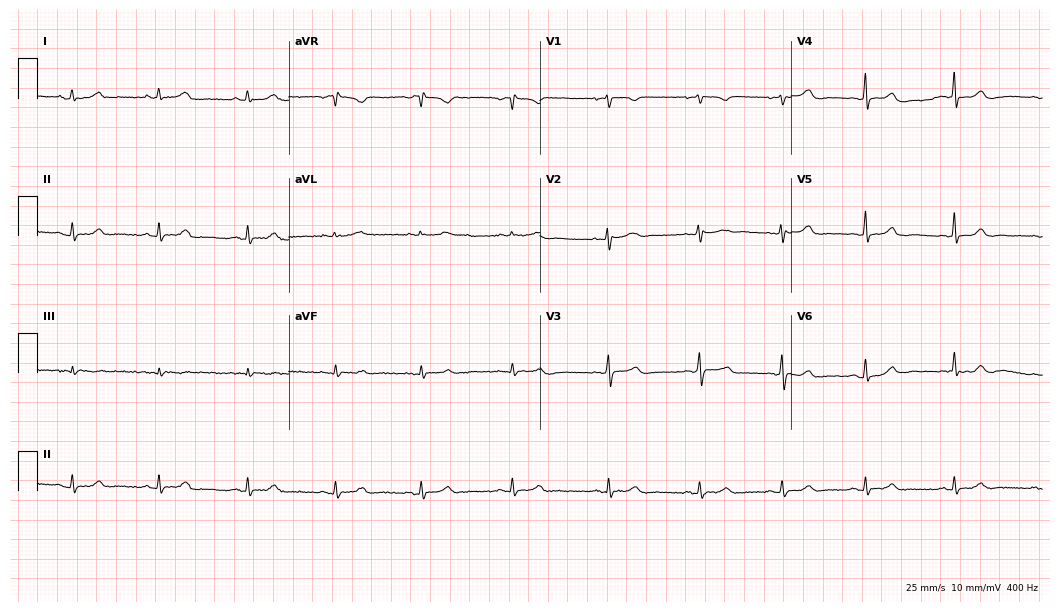
12-lead ECG from a 35-year-old woman. Labelled as a normal ECG.